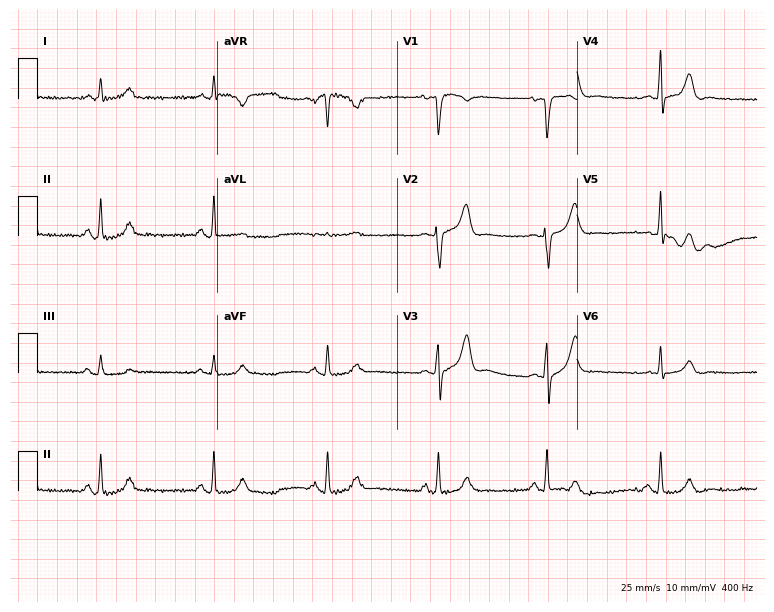
12-lead ECG (7.3-second recording at 400 Hz) from a male, 83 years old. Labelled as a normal ECG.